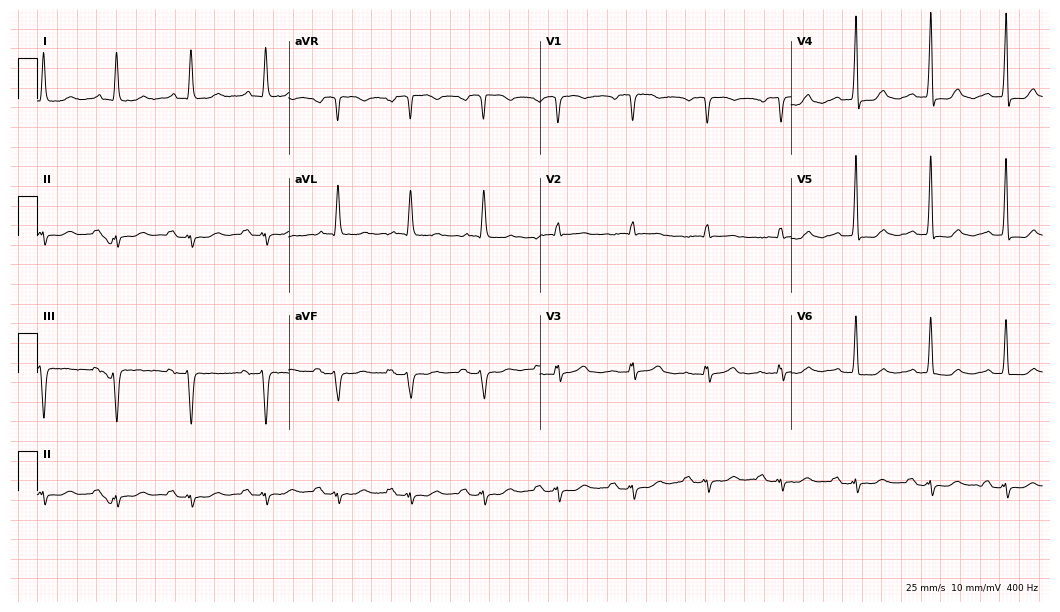
Standard 12-lead ECG recorded from a 79-year-old female patient. None of these six findings is recorded: first-degree AV block, right bundle branch block (RBBB), left bundle branch block (LBBB), sinus bradycardia, atrial fibrillation (AF), sinus tachycardia.